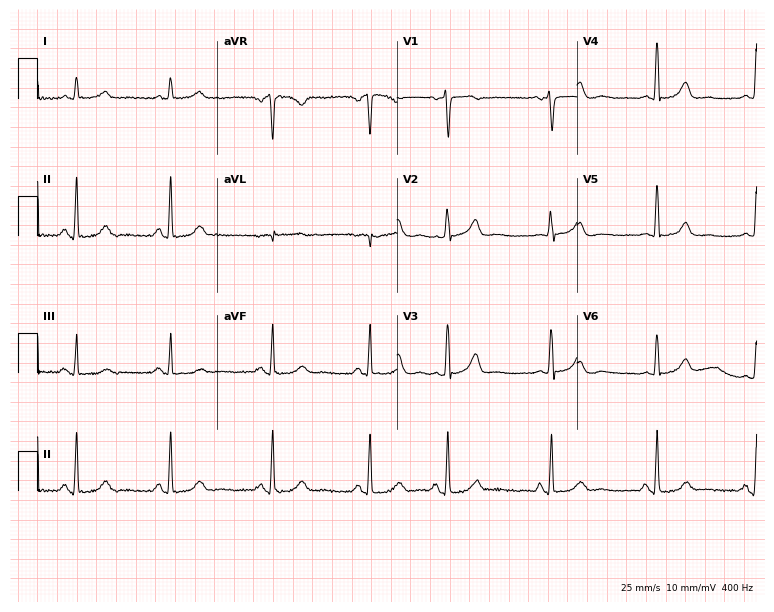
ECG — a woman, 65 years old. Screened for six findings — first-degree AV block, right bundle branch block, left bundle branch block, sinus bradycardia, atrial fibrillation, sinus tachycardia — none is recorded. Findings outside these six are not listed.